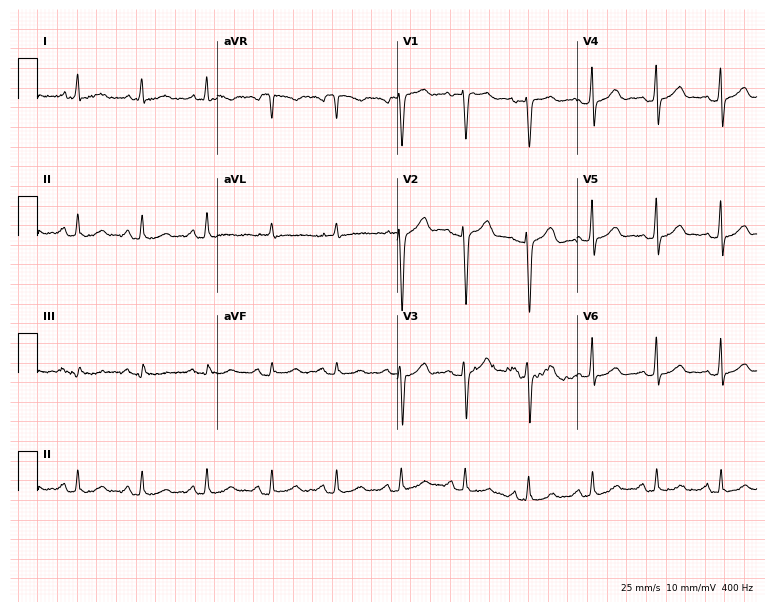
Standard 12-lead ECG recorded from a female, 61 years old. None of these six findings is recorded: first-degree AV block, right bundle branch block (RBBB), left bundle branch block (LBBB), sinus bradycardia, atrial fibrillation (AF), sinus tachycardia. Other findings, if any, are not listed.